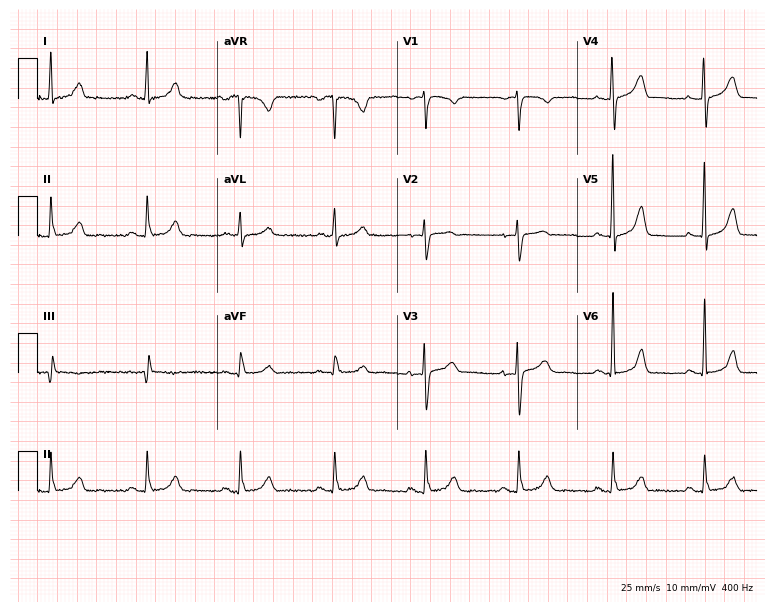
12-lead ECG from a 55-year-old woman. Labelled as a normal ECG.